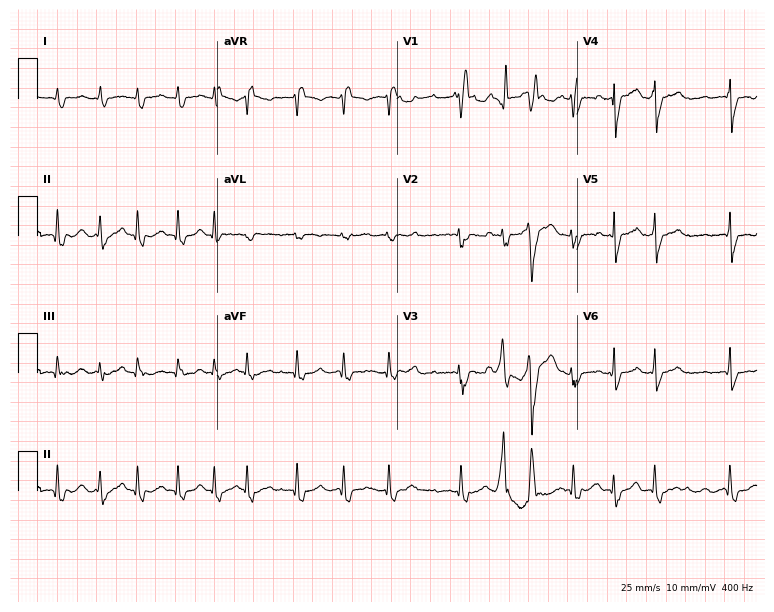
Resting 12-lead electrocardiogram (7.3-second recording at 400 Hz). Patient: a 77-year-old male. The tracing shows right bundle branch block, atrial fibrillation.